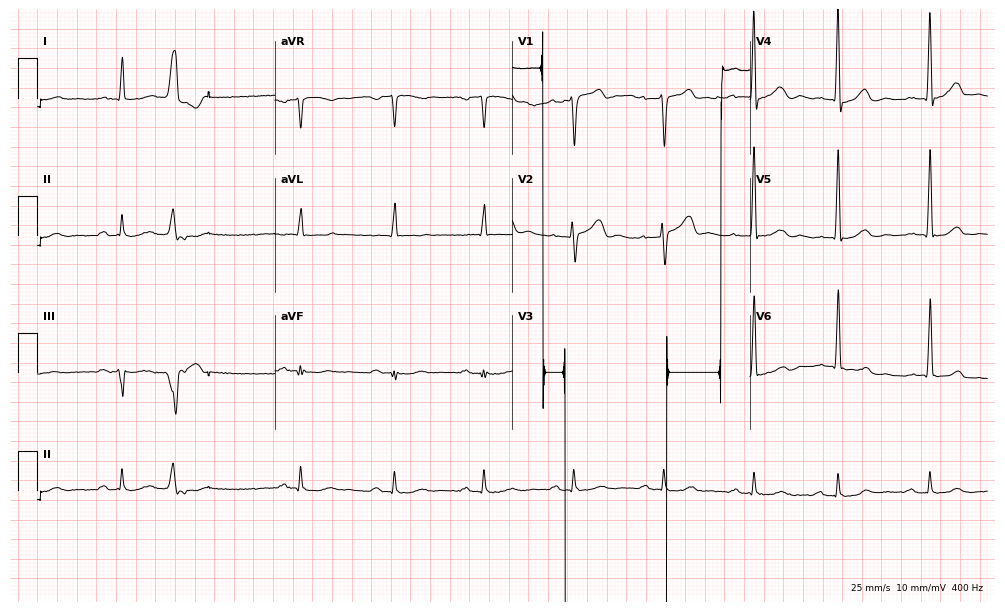
12-lead ECG (9.7-second recording at 400 Hz) from a male, 73 years old. Screened for six findings — first-degree AV block, right bundle branch block (RBBB), left bundle branch block (LBBB), sinus bradycardia, atrial fibrillation (AF), sinus tachycardia — none is recorded.